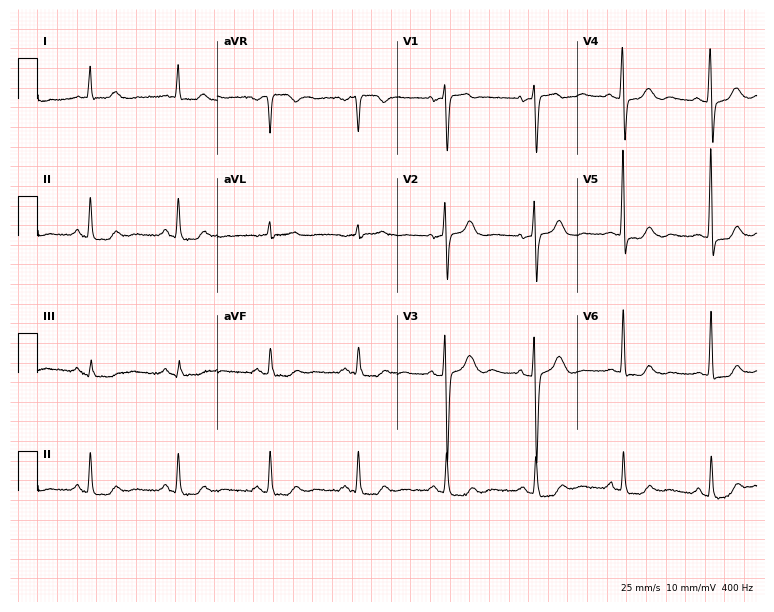
Electrocardiogram, a female patient, 65 years old. Overall reading on record: normal ECG.